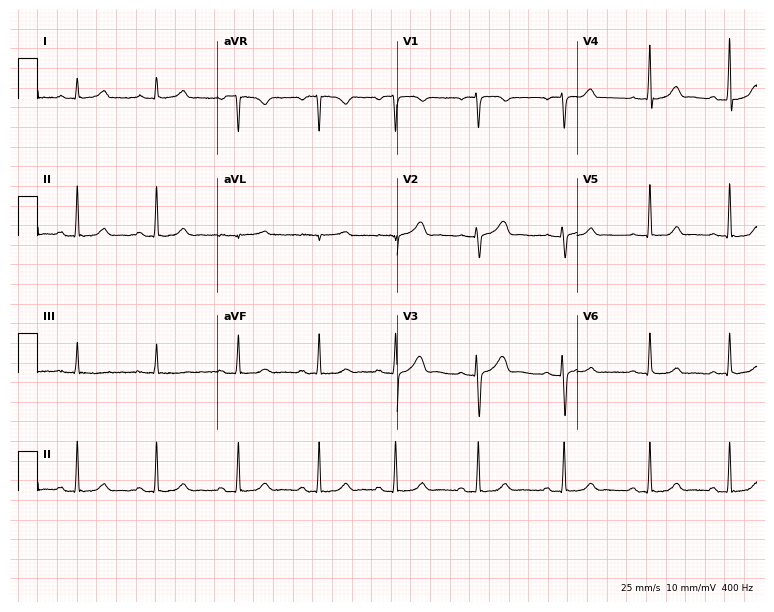
ECG (7.3-second recording at 400 Hz) — a 40-year-old female patient. Labelled as a normal ECG.